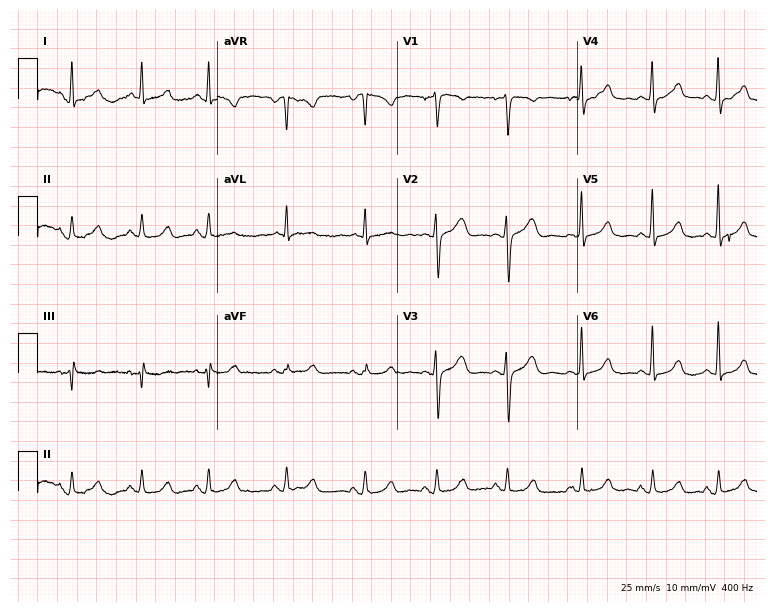
12-lead ECG from a 39-year-old female (7.3-second recording at 400 Hz). Recorded interpretation: within normal limits.